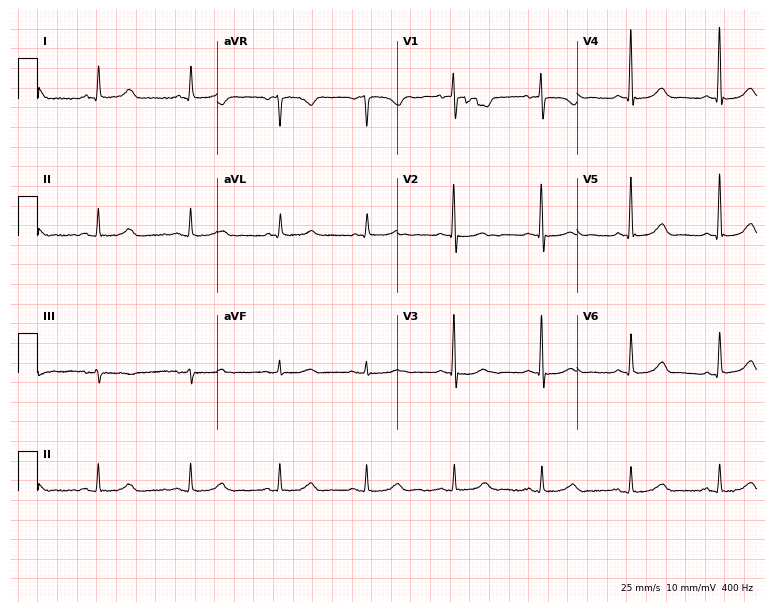
Standard 12-lead ECG recorded from a 76-year-old female patient. Read as a normal ECG.